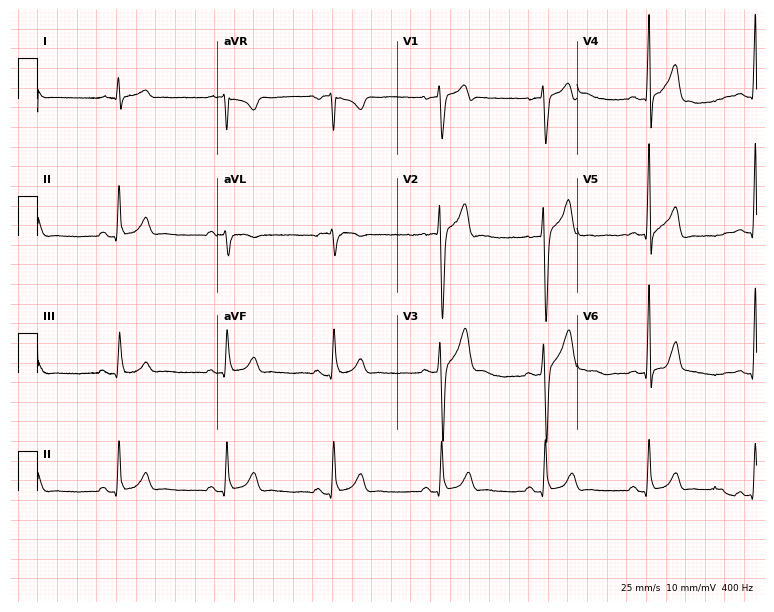
Resting 12-lead electrocardiogram (7.3-second recording at 400 Hz). Patient: a 35-year-old man. Read as a normal ECG.